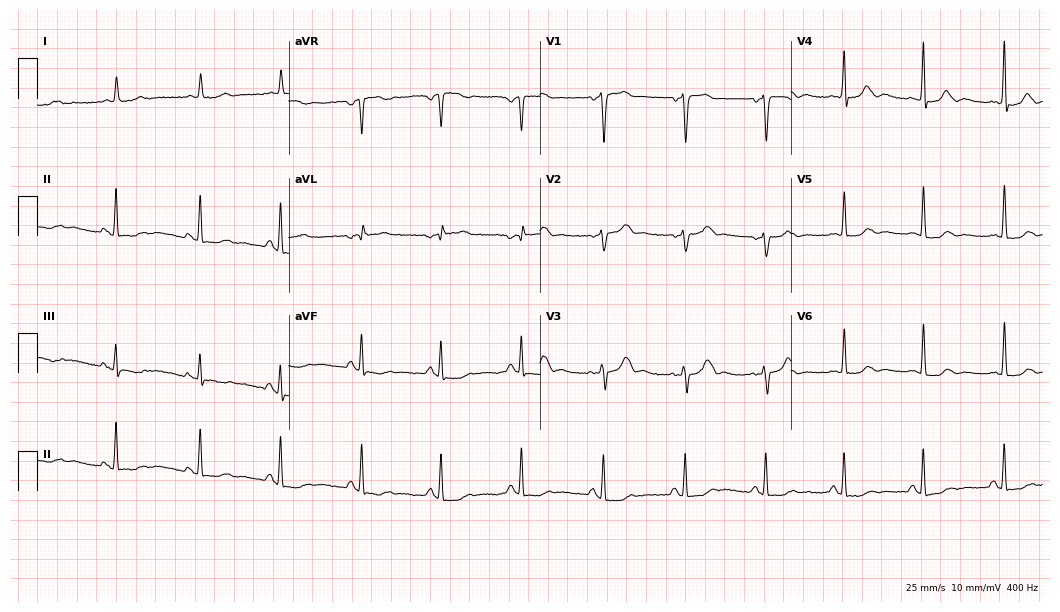
Electrocardiogram (10.2-second recording at 400 Hz), a female patient, 75 years old. Overall reading on record: normal ECG.